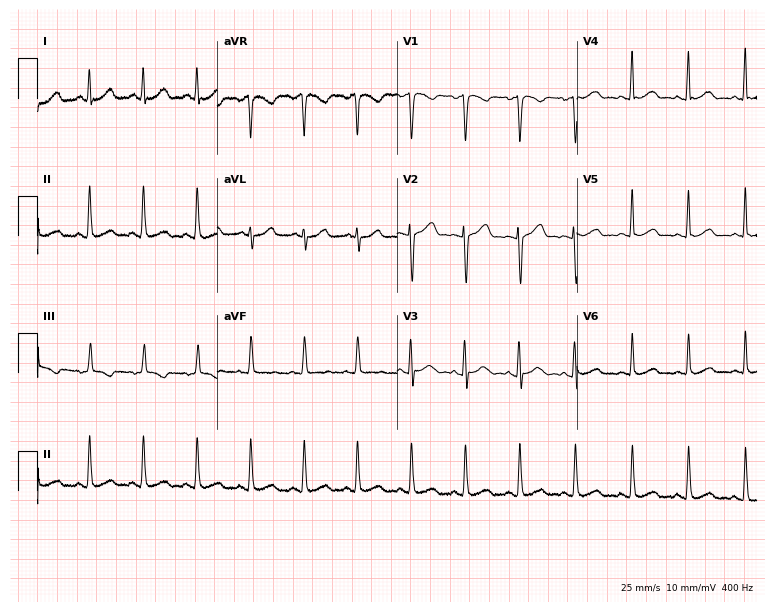
Standard 12-lead ECG recorded from a woman, 17 years old (7.3-second recording at 400 Hz). The tracing shows sinus tachycardia (a sinus rate of 100 beats per minute or more).